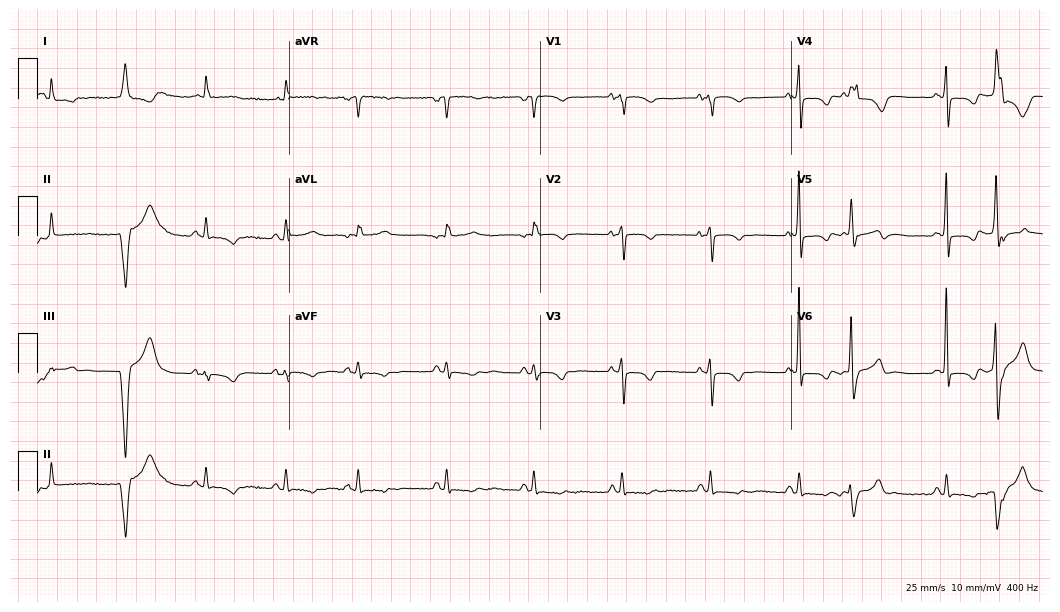
12-lead ECG from a 72-year-old female. Screened for six findings — first-degree AV block, right bundle branch block, left bundle branch block, sinus bradycardia, atrial fibrillation, sinus tachycardia — none is recorded.